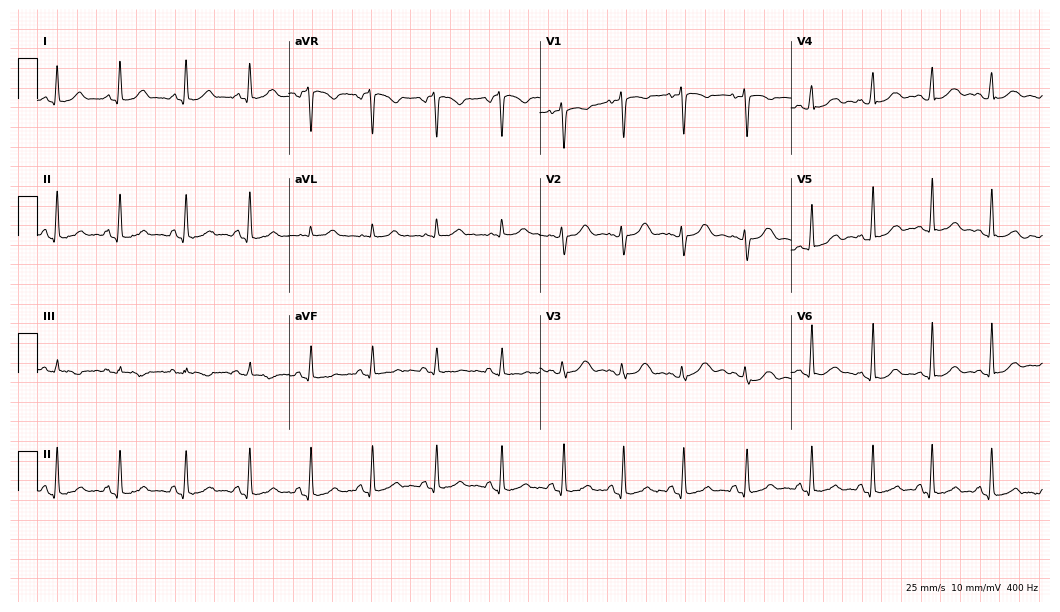
Standard 12-lead ECG recorded from a 21-year-old female patient (10.2-second recording at 400 Hz). Read as a normal ECG.